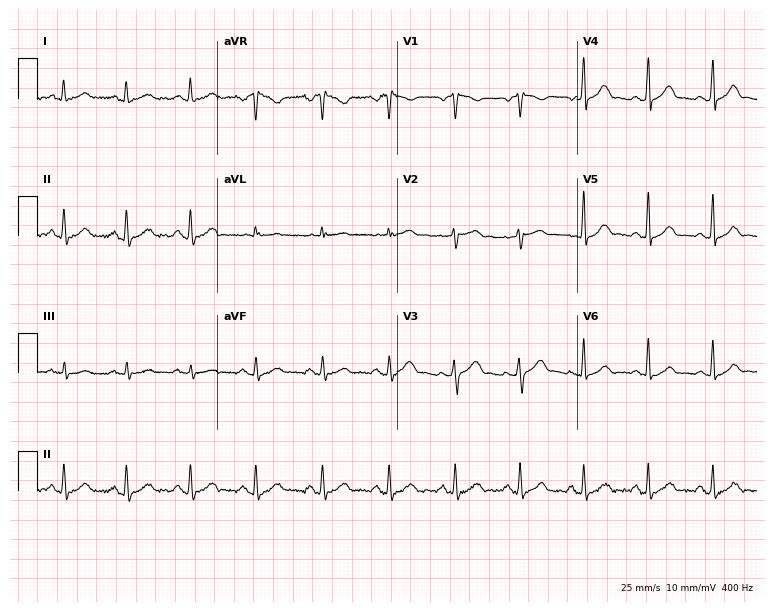
Electrocardiogram, a female patient, 48 years old. Overall reading on record: normal ECG.